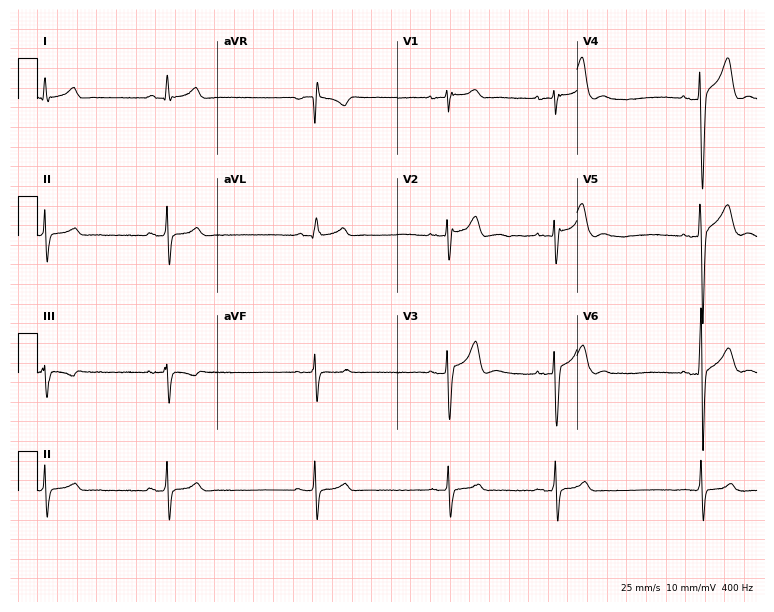
Resting 12-lead electrocardiogram. Patient: an 18-year-old male. The tracing shows sinus bradycardia (a sinus rate of 50 beats per minute or less).